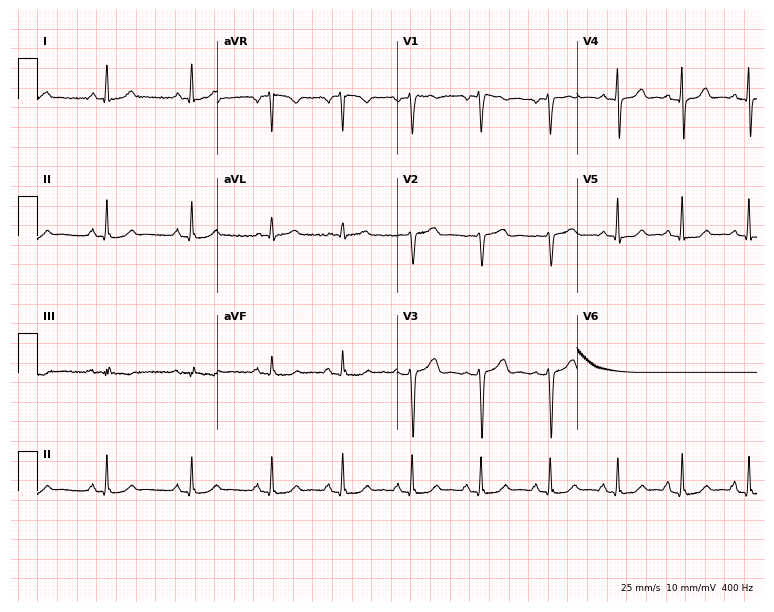
Resting 12-lead electrocardiogram. Patient: a 37-year-old woman. None of these six findings is recorded: first-degree AV block, right bundle branch block (RBBB), left bundle branch block (LBBB), sinus bradycardia, atrial fibrillation (AF), sinus tachycardia.